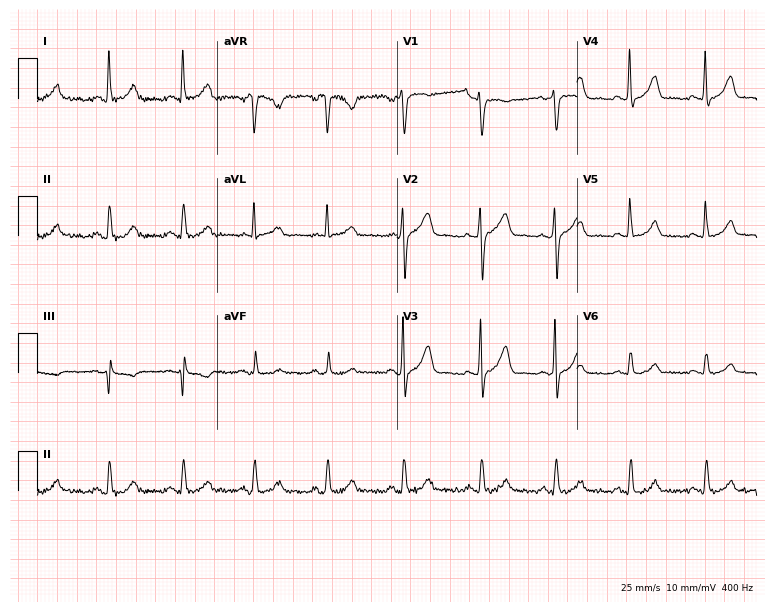
12-lead ECG from a female, 58 years old (7.3-second recording at 400 Hz). No first-degree AV block, right bundle branch block, left bundle branch block, sinus bradycardia, atrial fibrillation or sinus tachycardia recorded for this tracing. Only these six findings were labelled.